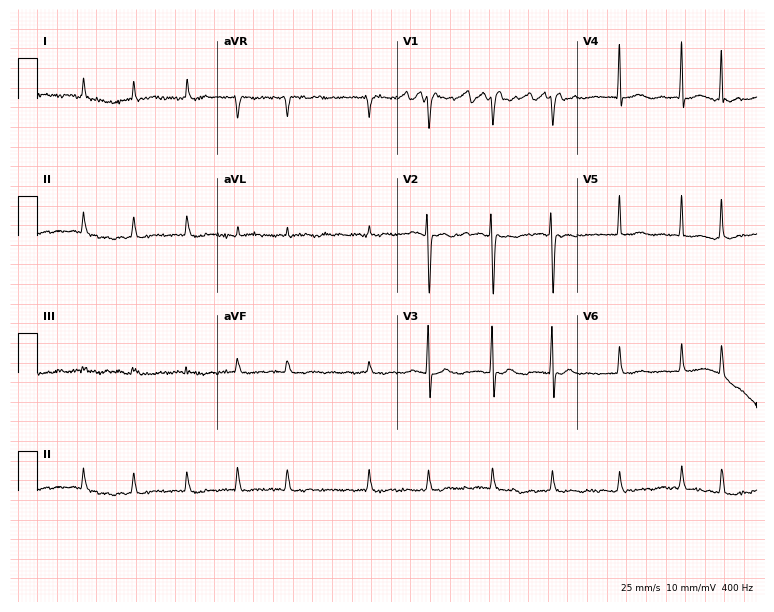
ECG (7.3-second recording at 400 Hz) — an 82-year-old female. Findings include atrial fibrillation (AF).